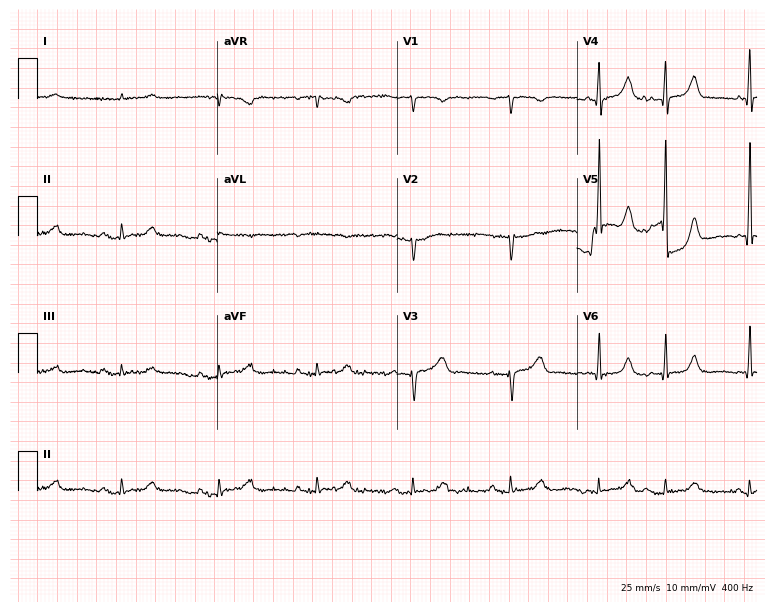
Resting 12-lead electrocardiogram. Patient: an 85-year-old male. None of these six findings is recorded: first-degree AV block, right bundle branch block, left bundle branch block, sinus bradycardia, atrial fibrillation, sinus tachycardia. Findings outside these six are not listed.